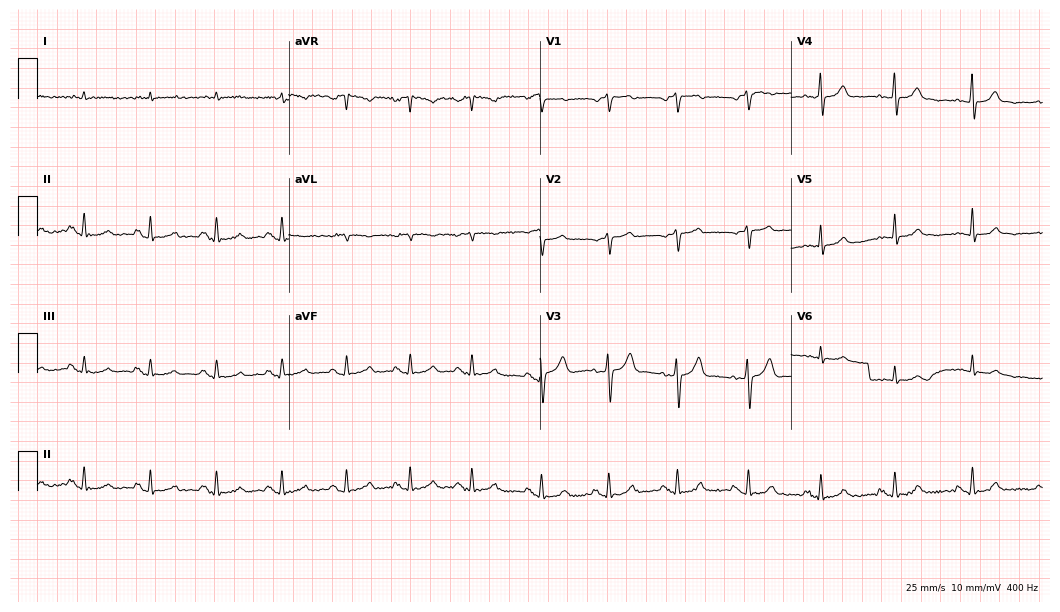
12-lead ECG (10.2-second recording at 400 Hz) from an 85-year-old man. Screened for six findings — first-degree AV block, right bundle branch block, left bundle branch block, sinus bradycardia, atrial fibrillation, sinus tachycardia — none is recorded.